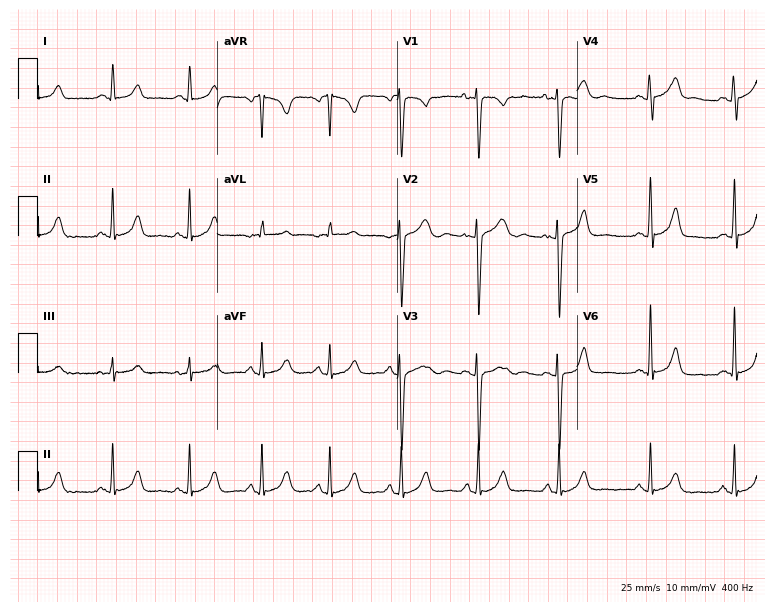
Resting 12-lead electrocardiogram. Patient: a 24-year-old female. Read as a normal ECG.